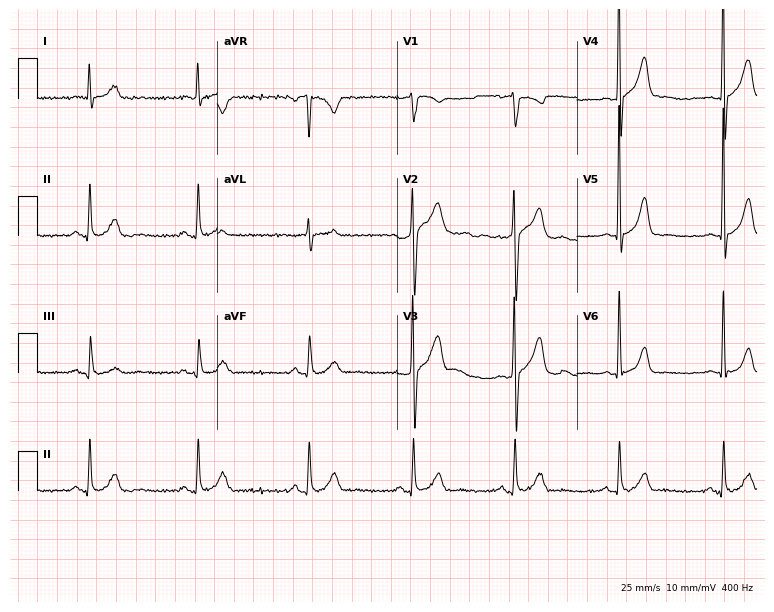
Resting 12-lead electrocardiogram. Patient: a male, 58 years old. Read as a normal ECG.